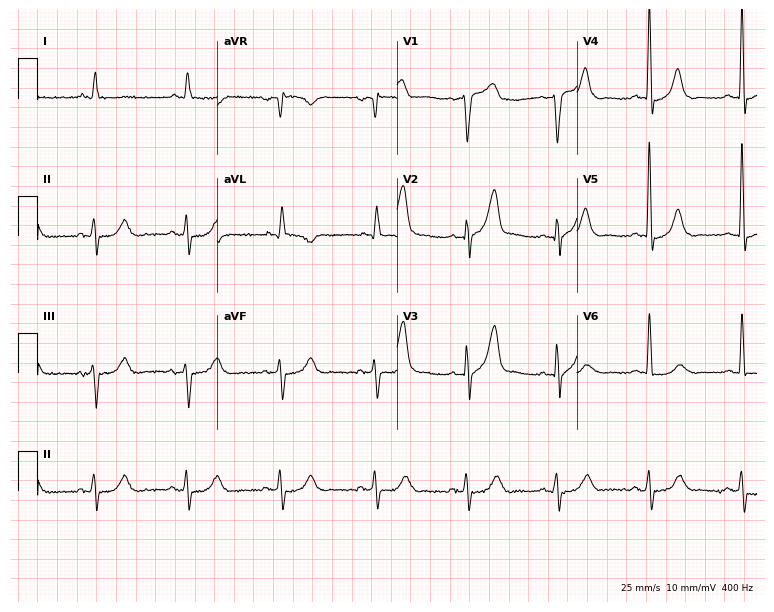
Resting 12-lead electrocardiogram. Patient: a man, 77 years old. None of these six findings is recorded: first-degree AV block, right bundle branch block (RBBB), left bundle branch block (LBBB), sinus bradycardia, atrial fibrillation (AF), sinus tachycardia.